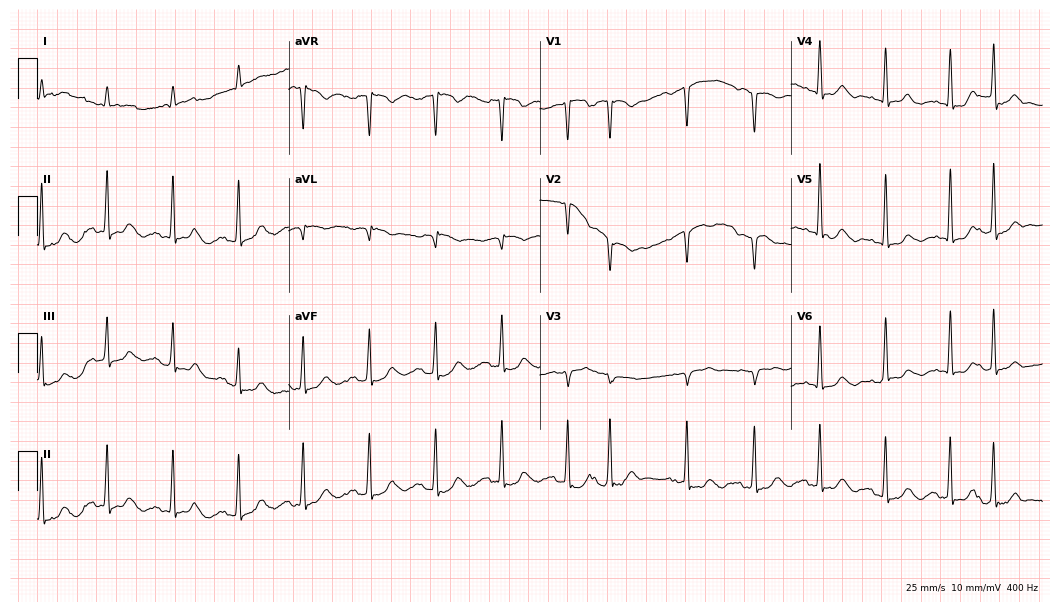
ECG — an 85-year-old male. Labelled as a normal ECG.